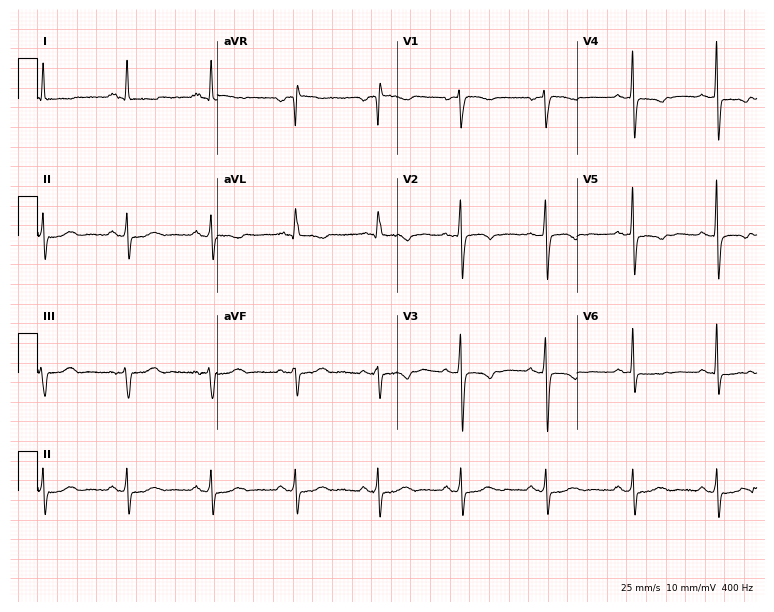
Electrocardiogram (7.3-second recording at 400 Hz), a 64-year-old man. Of the six screened findings (first-degree AV block, right bundle branch block (RBBB), left bundle branch block (LBBB), sinus bradycardia, atrial fibrillation (AF), sinus tachycardia), none is recorded.